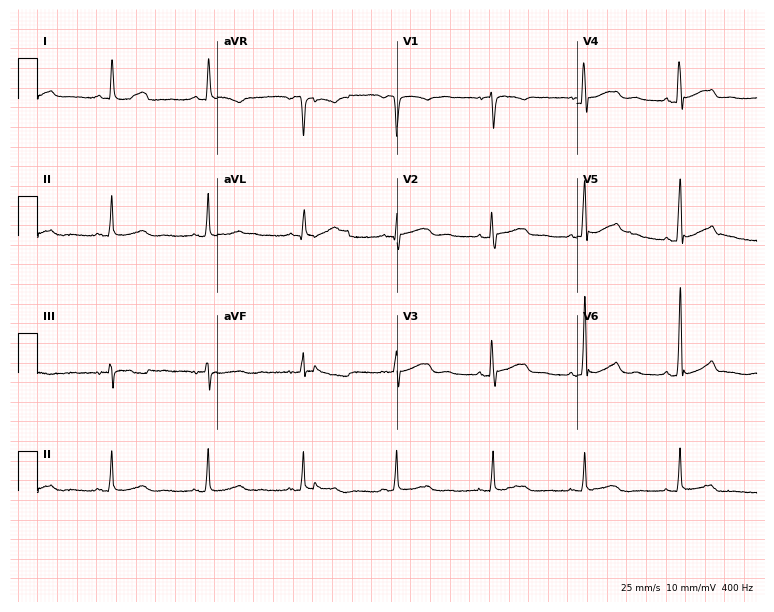
12-lead ECG from a female patient, 85 years old. Labelled as a normal ECG.